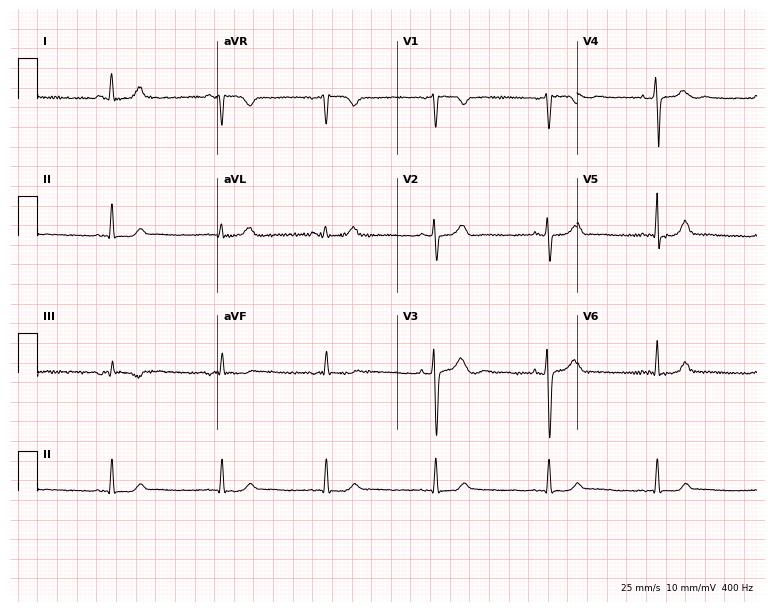
Electrocardiogram (7.3-second recording at 400 Hz), a female, 39 years old. Overall reading on record: normal ECG.